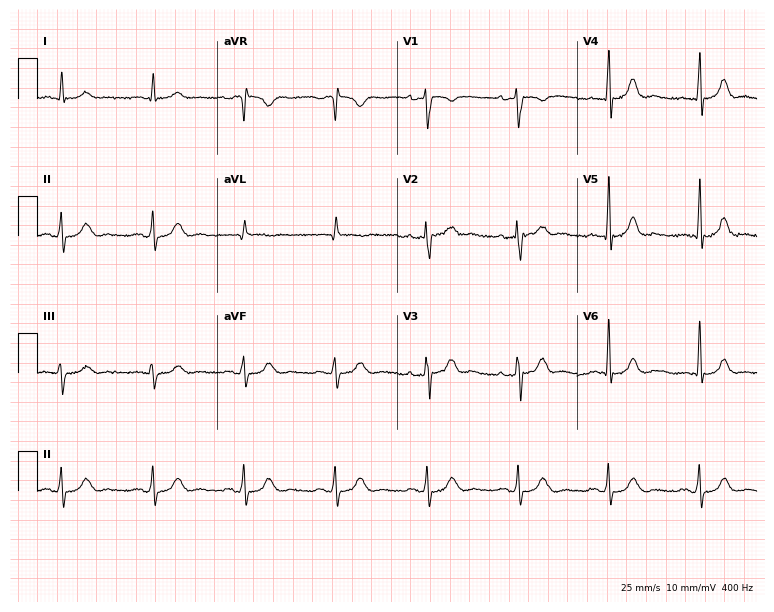
ECG (7.3-second recording at 400 Hz) — a male, 84 years old. Labelled as a normal ECG.